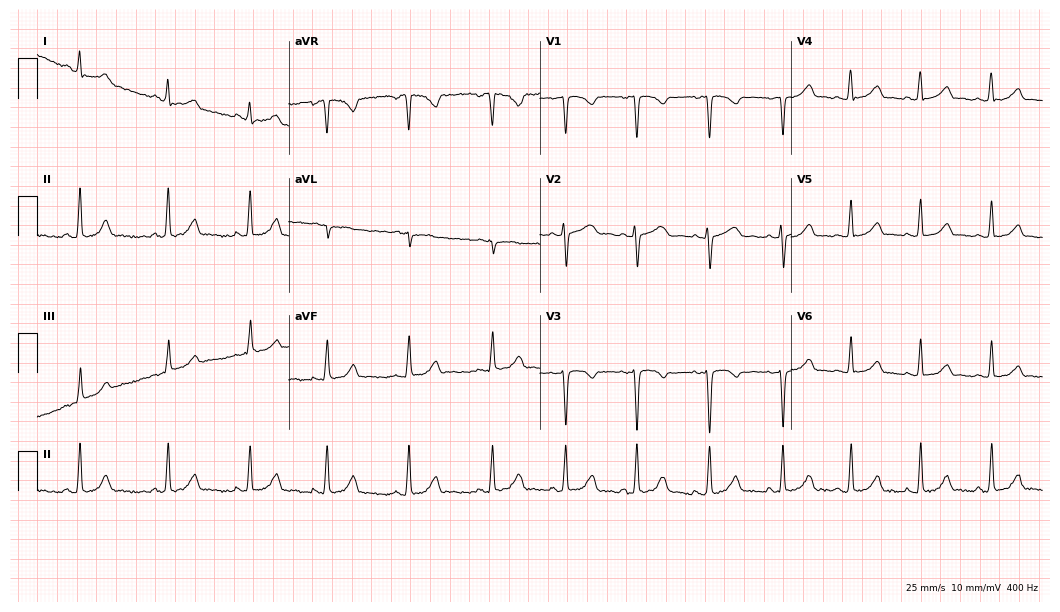
Standard 12-lead ECG recorded from a woman, 30 years old (10.2-second recording at 400 Hz). Read as a normal ECG.